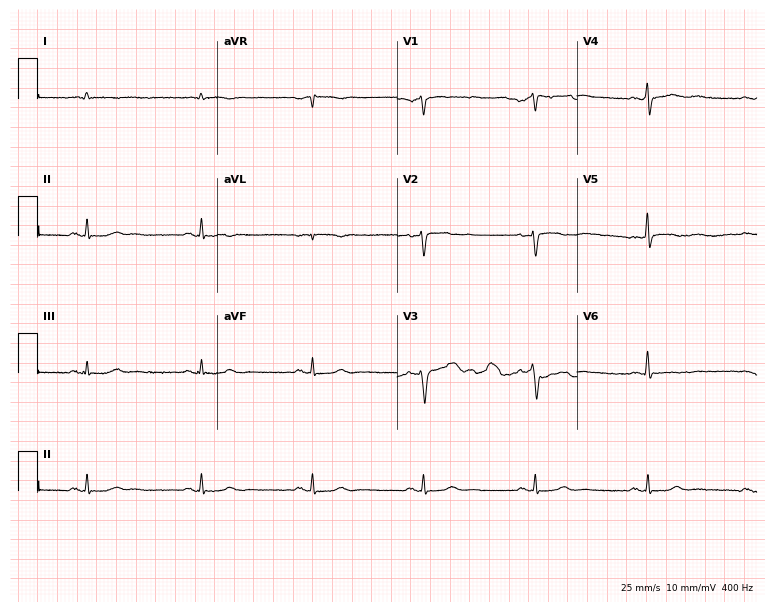
ECG — an 83-year-old male patient. Screened for six findings — first-degree AV block, right bundle branch block, left bundle branch block, sinus bradycardia, atrial fibrillation, sinus tachycardia — none is recorded. Other findings, if any, are not listed.